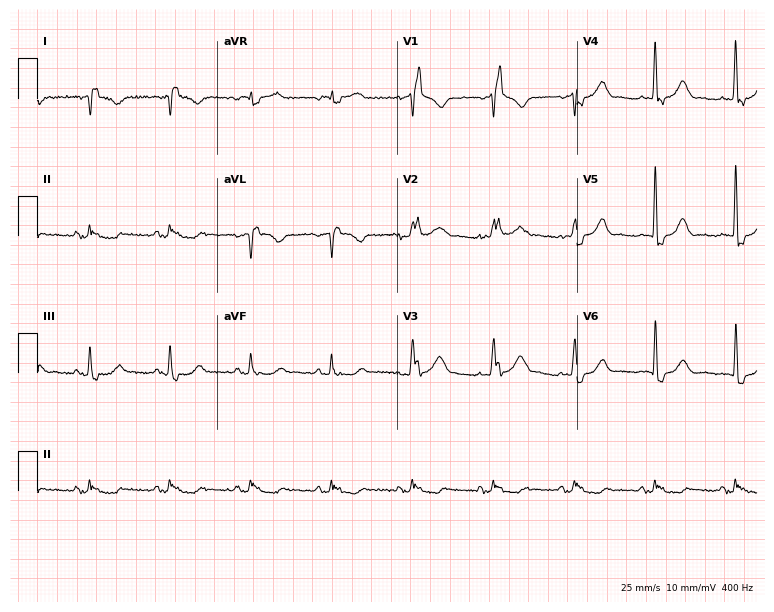
Standard 12-lead ECG recorded from a male, 79 years old. None of these six findings is recorded: first-degree AV block, right bundle branch block, left bundle branch block, sinus bradycardia, atrial fibrillation, sinus tachycardia.